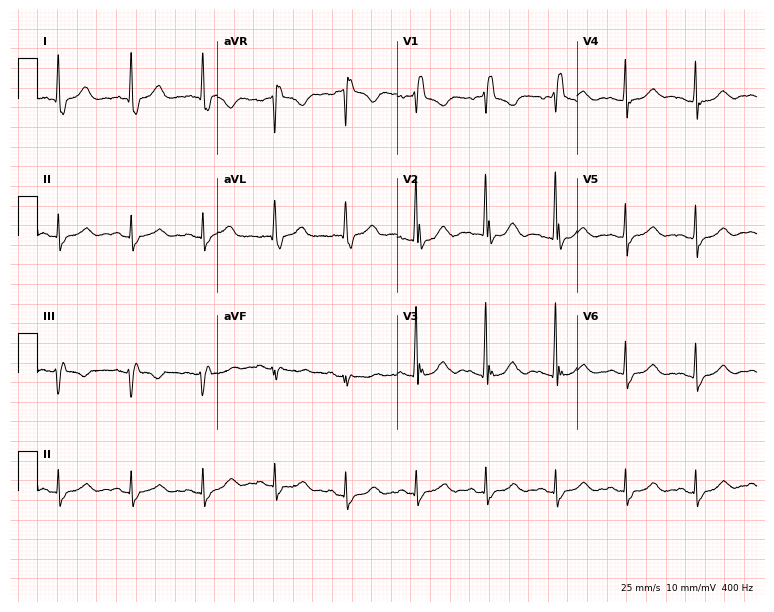
12-lead ECG from a 76-year-old male. Shows right bundle branch block (RBBB).